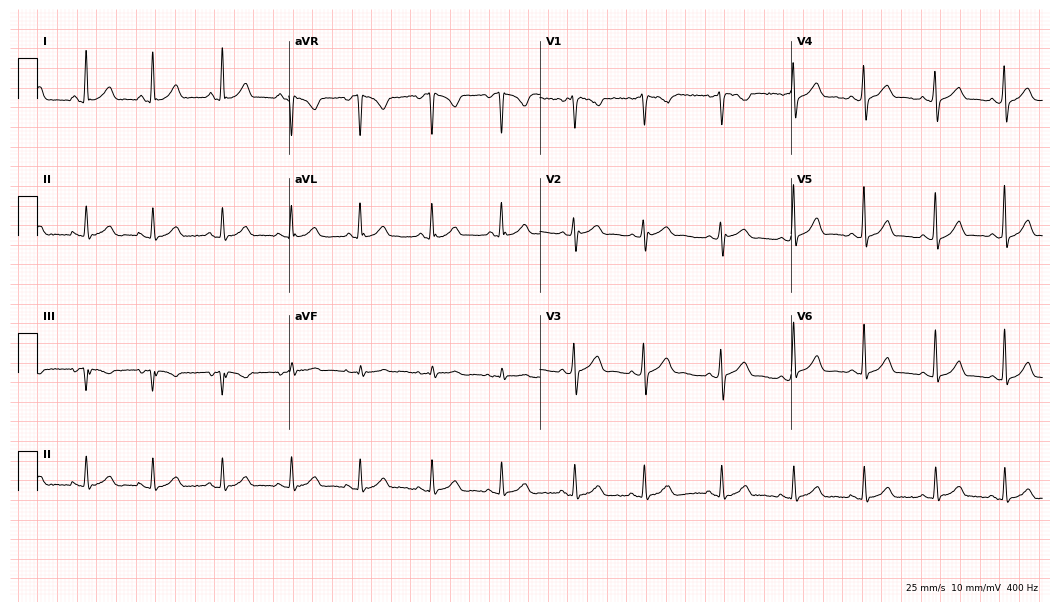
12-lead ECG from a female, 28 years old. Screened for six findings — first-degree AV block, right bundle branch block (RBBB), left bundle branch block (LBBB), sinus bradycardia, atrial fibrillation (AF), sinus tachycardia — none is recorded.